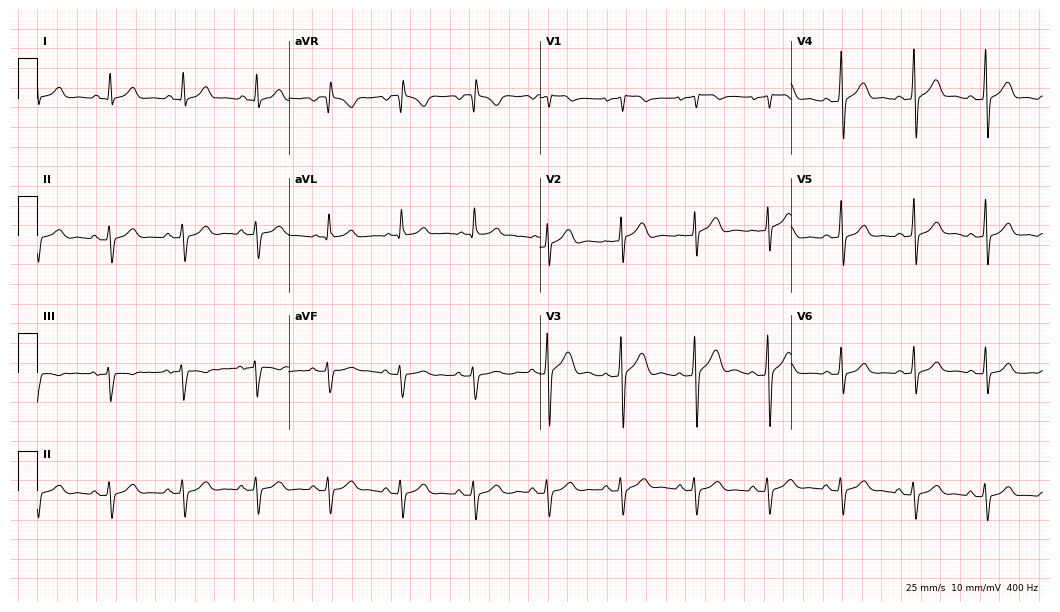
Resting 12-lead electrocardiogram (10.2-second recording at 400 Hz). Patient: a 28-year-old male. None of these six findings is recorded: first-degree AV block, right bundle branch block, left bundle branch block, sinus bradycardia, atrial fibrillation, sinus tachycardia. Other findings, if any, are not listed.